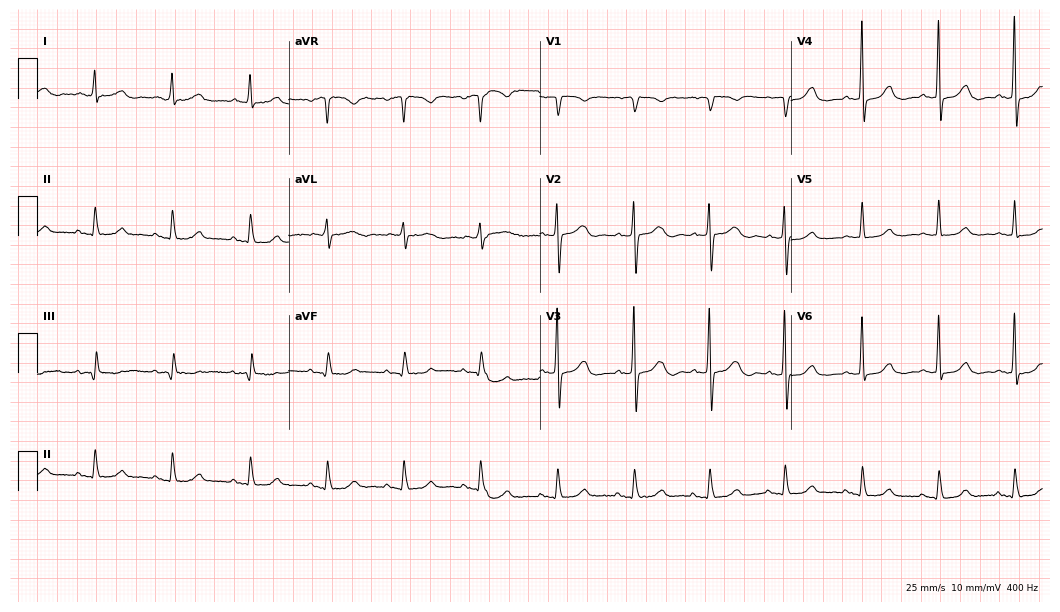
12-lead ECG (10.2-second recording at 400 Hz) from a 78-year-old female. Labelled as a normal ECG.